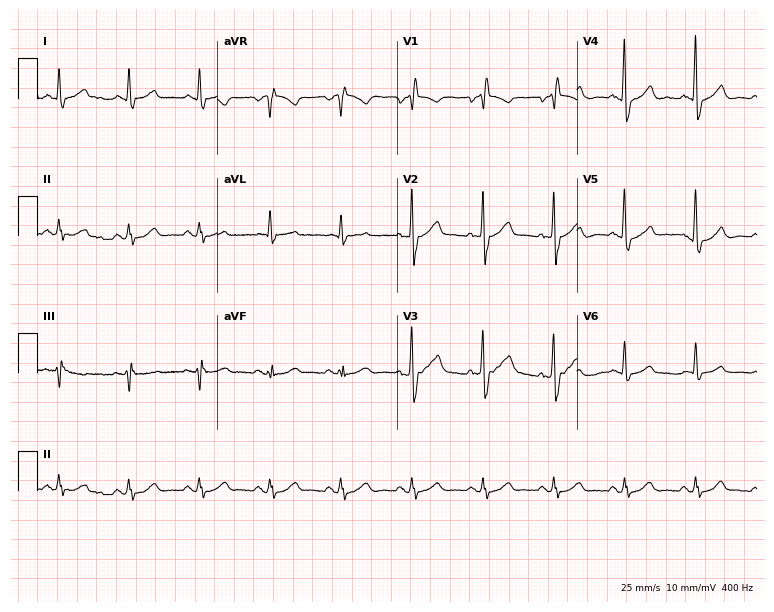
Resting 12-lead electrocardiogram. Patient: a 73-year-old man. None of these six findings is recorded: first-degree AV block, right bundle branch block, left bundle branch block, sinus bradycardia, atrial fibrillation, sinus tachycardia.